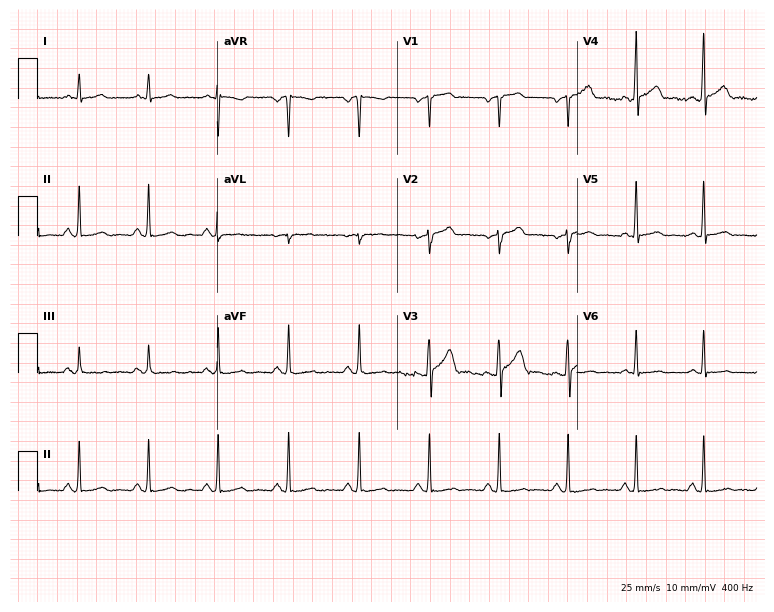
Electrocardiogram, a male, 47 years old. Overall reading on record: normal ECG.